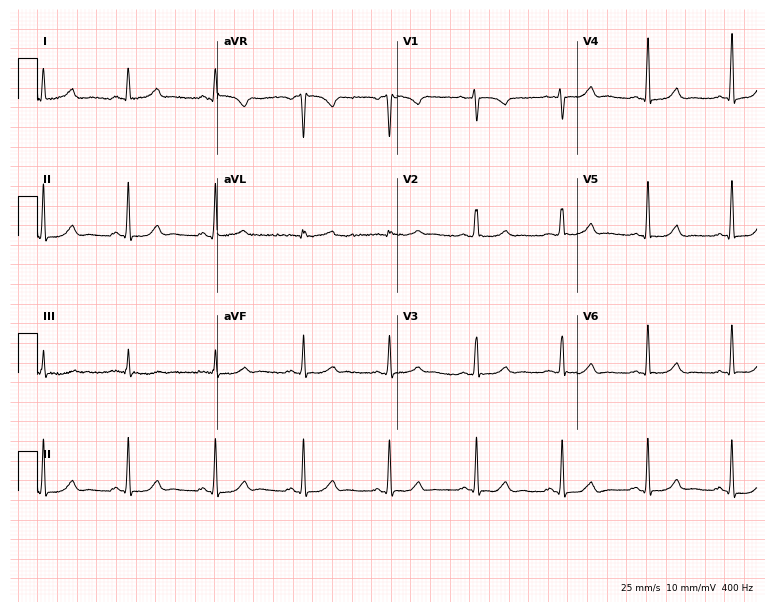
Electrocardiogram (7.3-second recording at 400 Hz), a 47-year-old female. Of the six screened findings (first-degree AV block, right bundle branch block, left bundle branch block, sinus bradycardia, atrial fibrillation, sinus tachycardia), none is recorded.